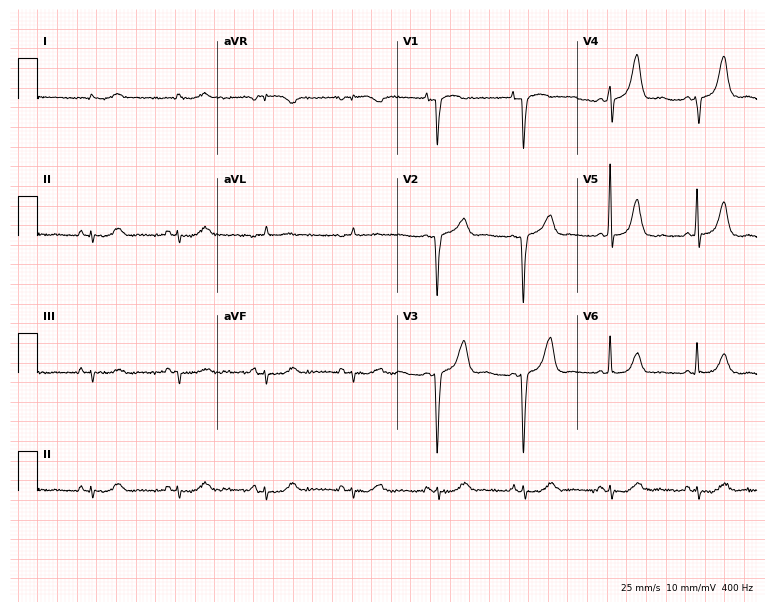
Resting 12-lead electrocardiogram. Patient: a female, 81 years old. Read as a normal ECG.